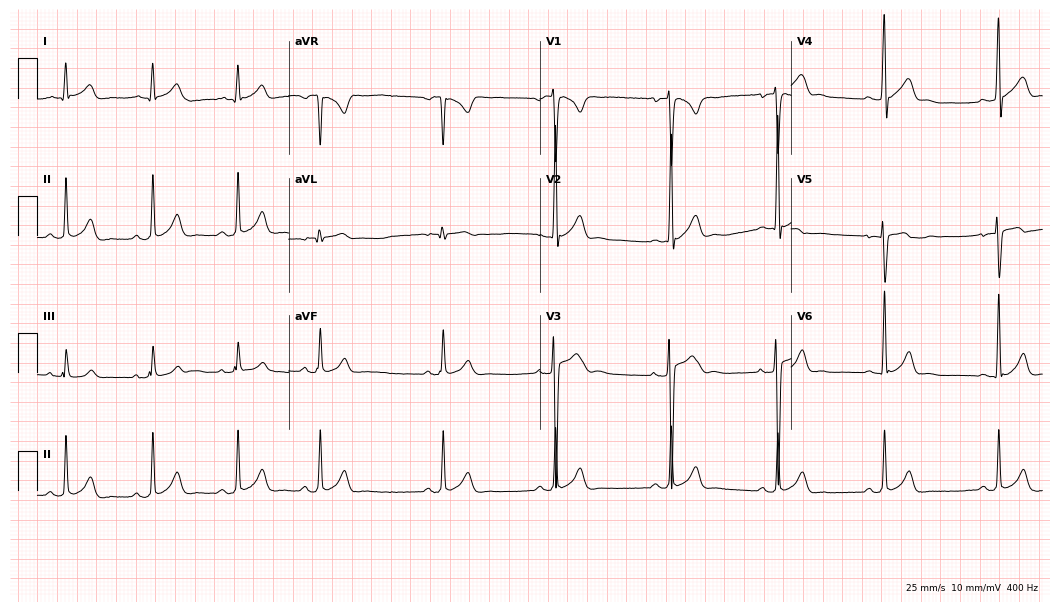
ECG (10.2-second recording at 400 Hz) — a male patient, 18 years old. Labelled as a normal ECG.